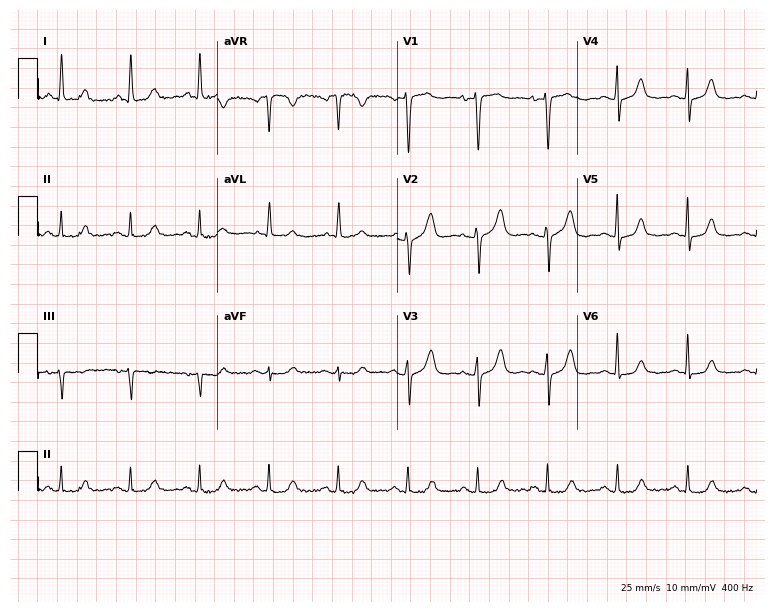
Resting 12-lead electrocardiogram. Patient: a 70-year-old female. None of these six findings is recorded: first-degree AV block, right bundle branch block, left bundle branch block, sinus bradycardia, atrial fibrillation, sinus tachycardia.